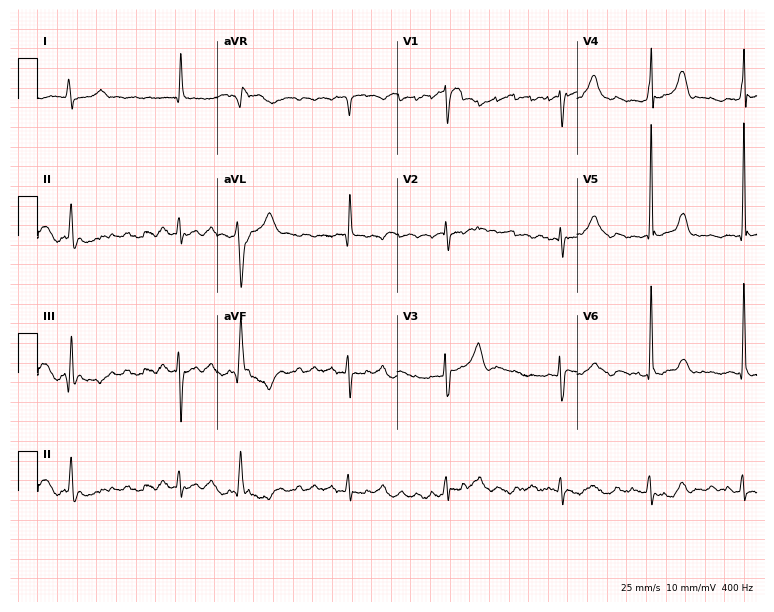
ECG — a woman, 56 years old. Findings include atrial fibrillation.